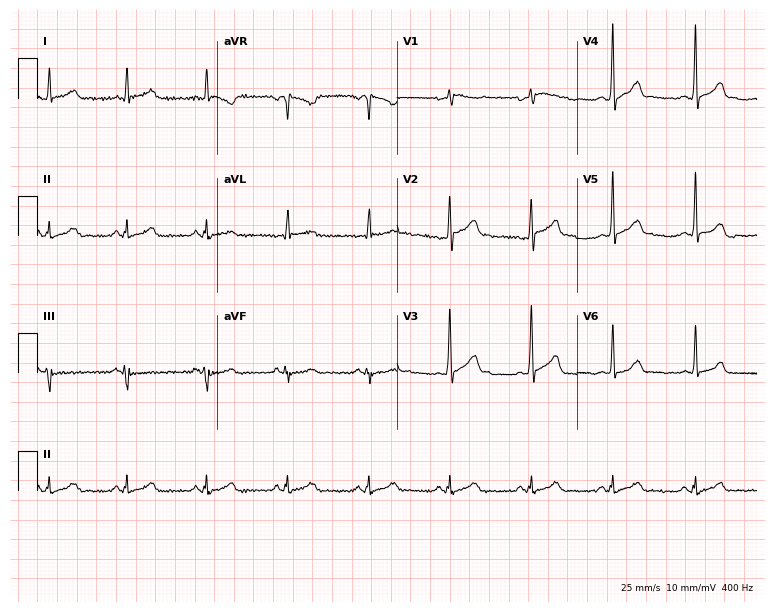
Resting 12-lead electrocardiogram (7.3-second recording at 400 Hz). Patient: a man, 47 years old. Read as a normal ECG.